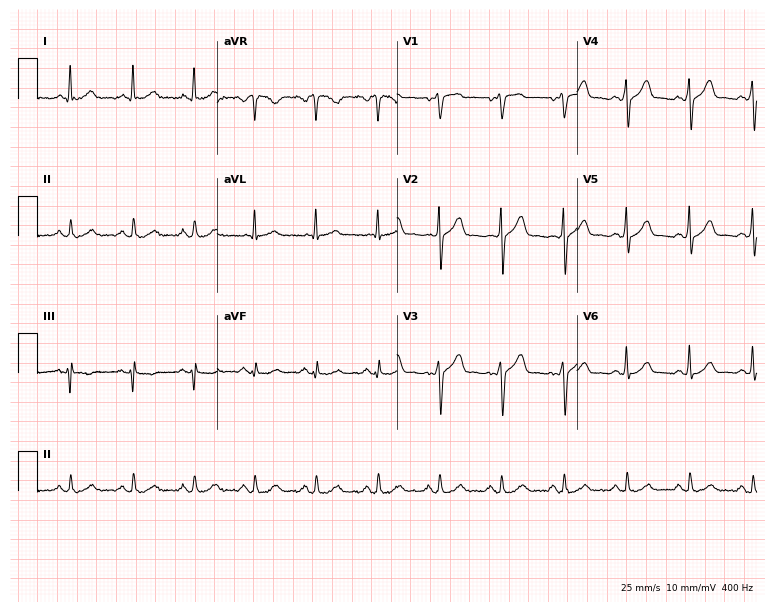
ECG — a man, 51 years old. Labelled as a normal ECG.